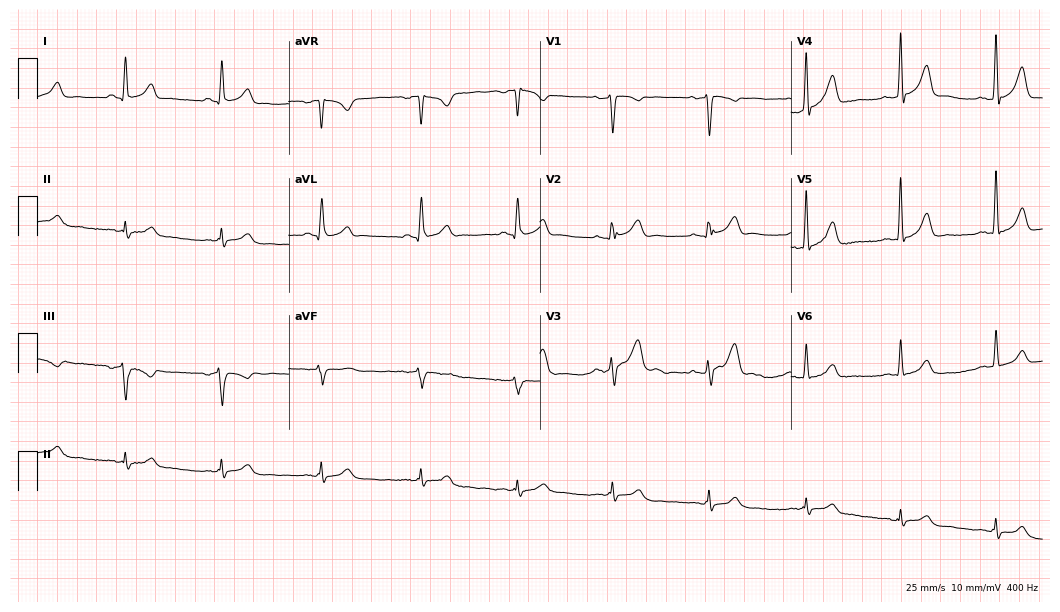
12-lead ECG (10.2-second recording at 400 Hz) from a man, 48 years old. Labelled as a normal ECG.